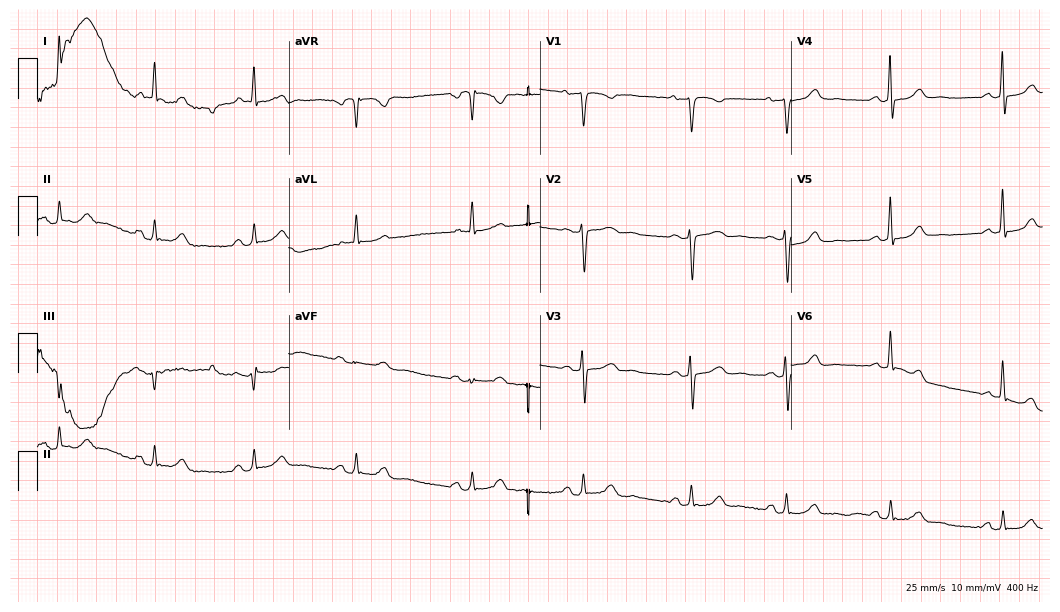
ECG (10.2-second recording at 400 Hz) — a 55-year-old woman. Screened for six findings — first-degree AV block, right bundle branch block, left bundle branch block, sinus bradycardia, atrial fibrillation, sinus tachycardia — none is recorded. Other findings, if any, are not listed.